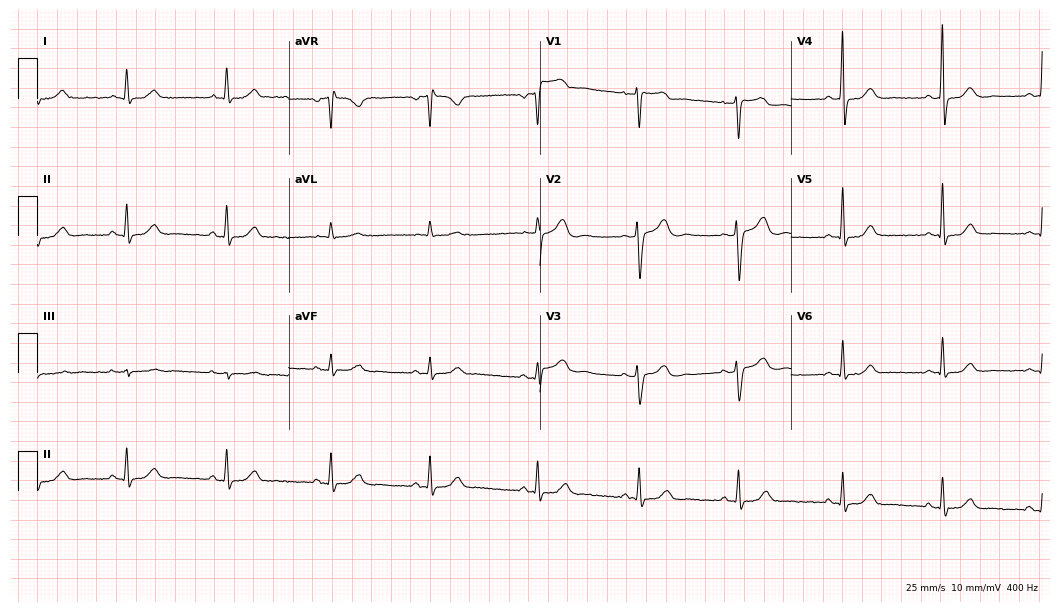
Resting 12-lead electrocardiogram. Patient: a 50-year-old female. Read as a normal ECG.